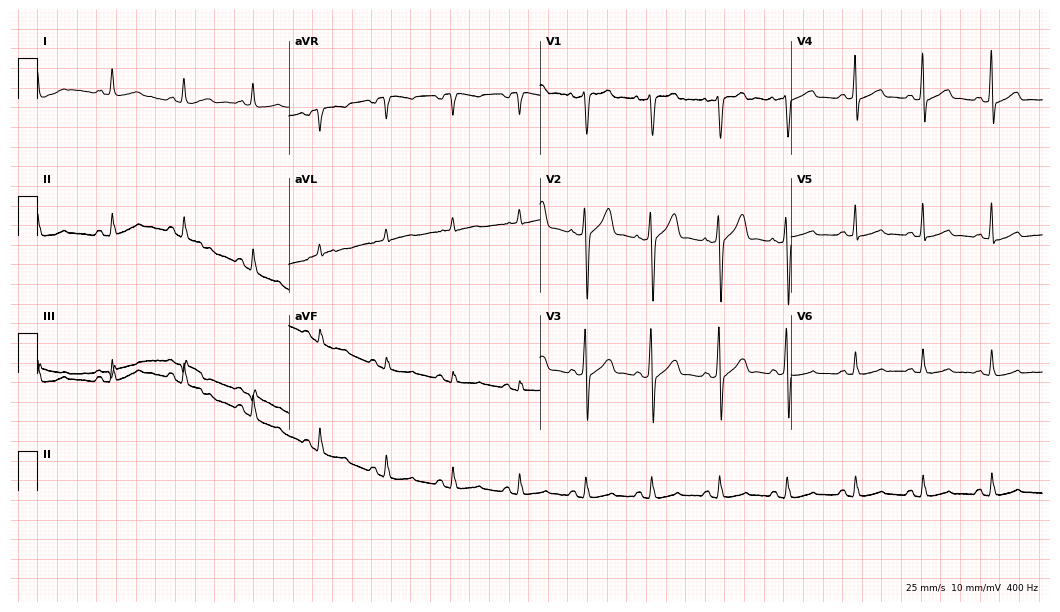
ECG — a 54-year-old male patient. Labelled as a normal ECG.